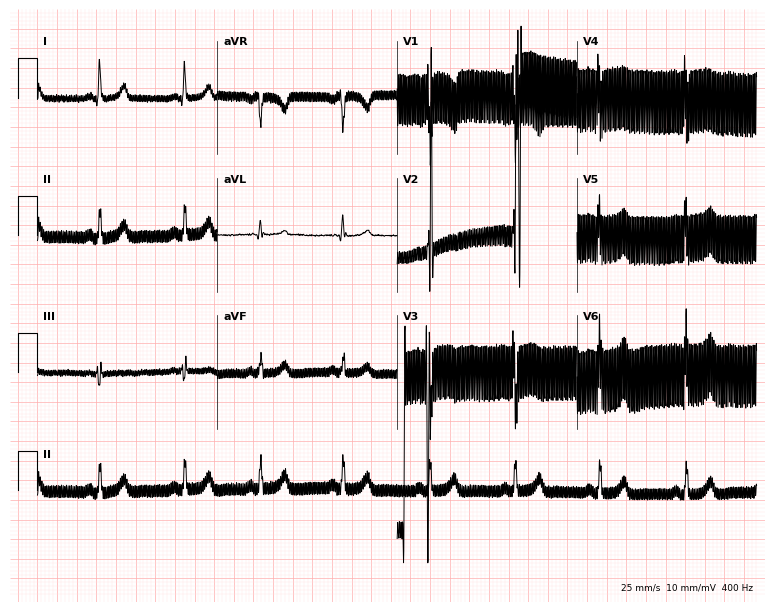
ECG (7.3-second recording at 400 Hz) — a 41-year-old female. Screened for six findings — first-degree AV block, right bundle branch block, left bundle branch block, sinus bradycardia, atrial fibrillation, sinus tachycardia — none is recorded.